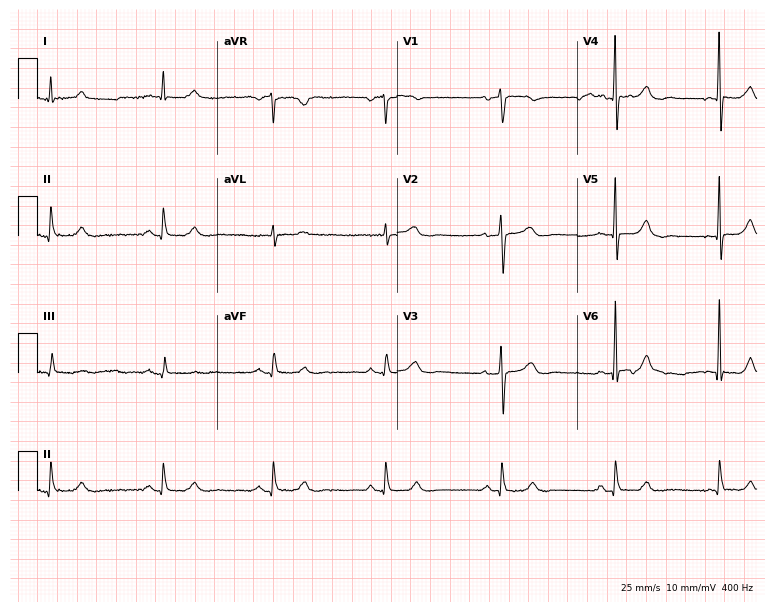
ECG (7.3-second recording at 400 Hz) — a 68-year-old female patient. Screened for six findings — first-degree AV block, right bundle branch block (RBBB), left bundle branch block (LBBB), sinus bradycardia, atrial fibrillation (AF), sinus tachycardia — none is recorded. Other findings, if any, are not listed.